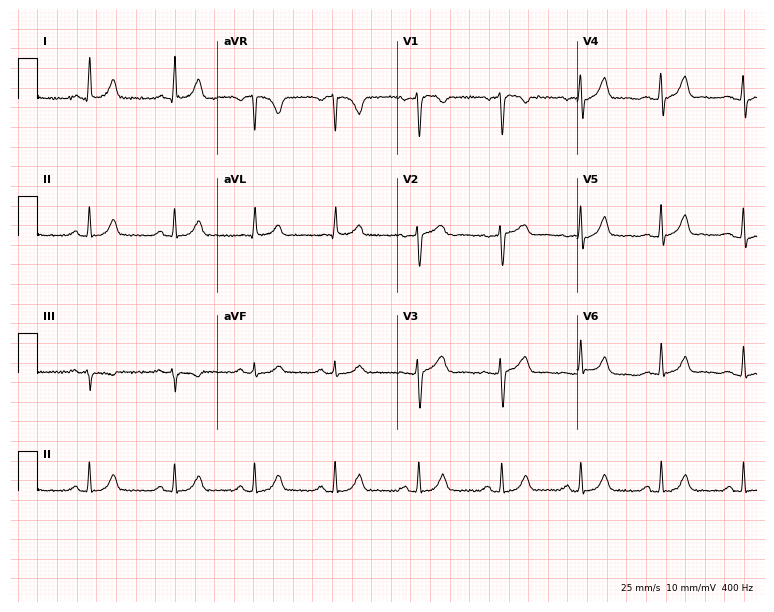
12-lead ECG (7.3-second recording at 400 Hz) from a 41-year-old woman. Labelled as a normal ECG.